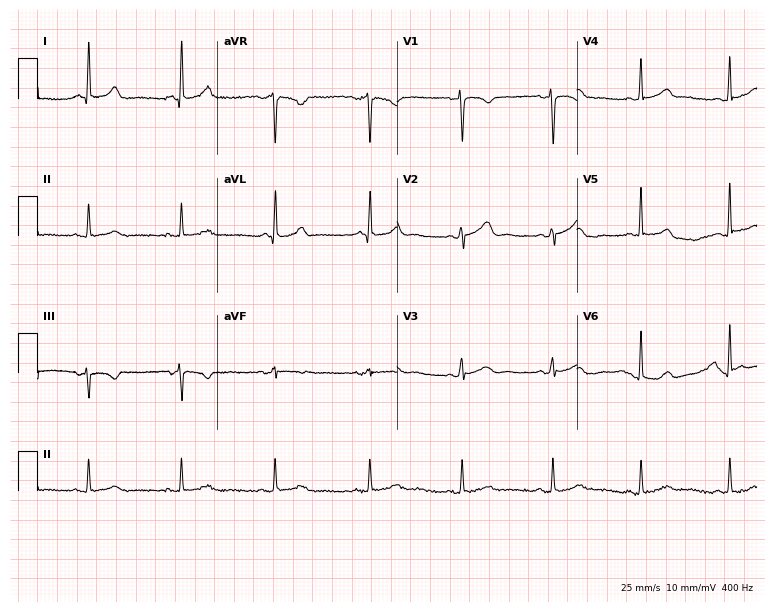
Standard 12-lead ECG recorded from a female patient, 31 years old (7.3-second recording at 400 Hz). None of these six findings is recorded: first-degree AV block, right bundle branch block (RBBB), left bundle branch block (LBBB), sinus bradycardia, atrial fibrillation (AF), sinus tachycardia. Other findings, if any, are not listed.